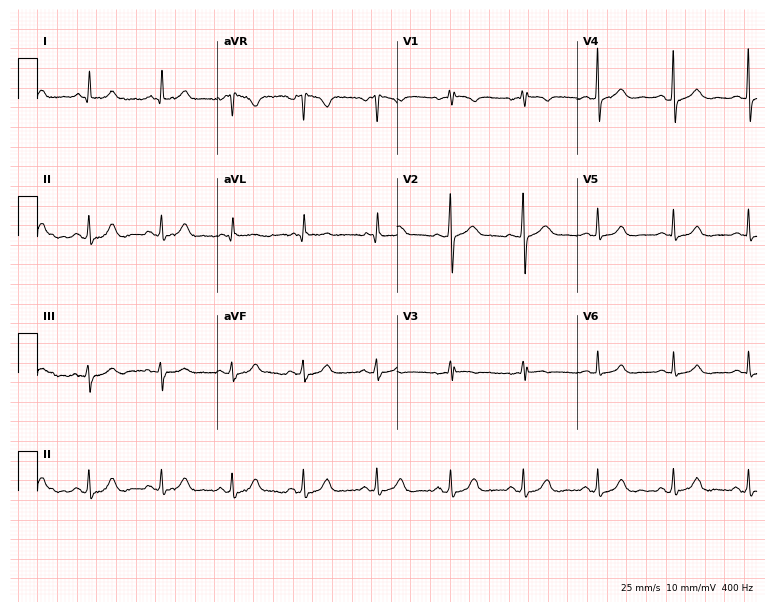
ECG (7.3-second recording at 400 Hz) — a 46-year-old woman. Labelled as a normal ECG.